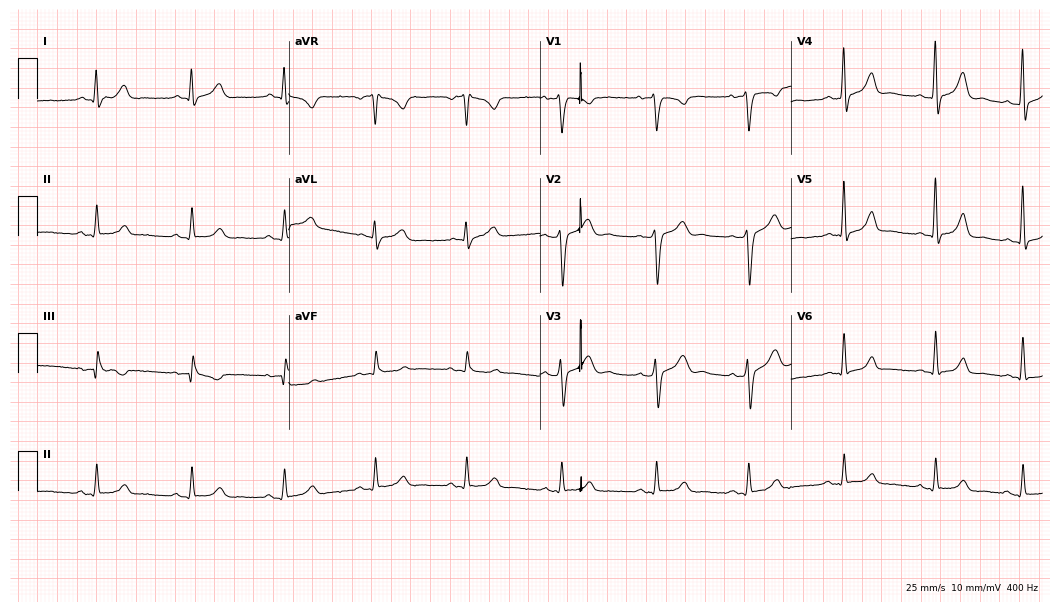
Resting 12-lead electrocardiogram. Patient: a male, 33 years old. None of these six findings is recorded: first-degree AV block, right bundle branch block, left bundle branch block, sinus bradycardia, atrial fibrillation, sinus tachycardia.